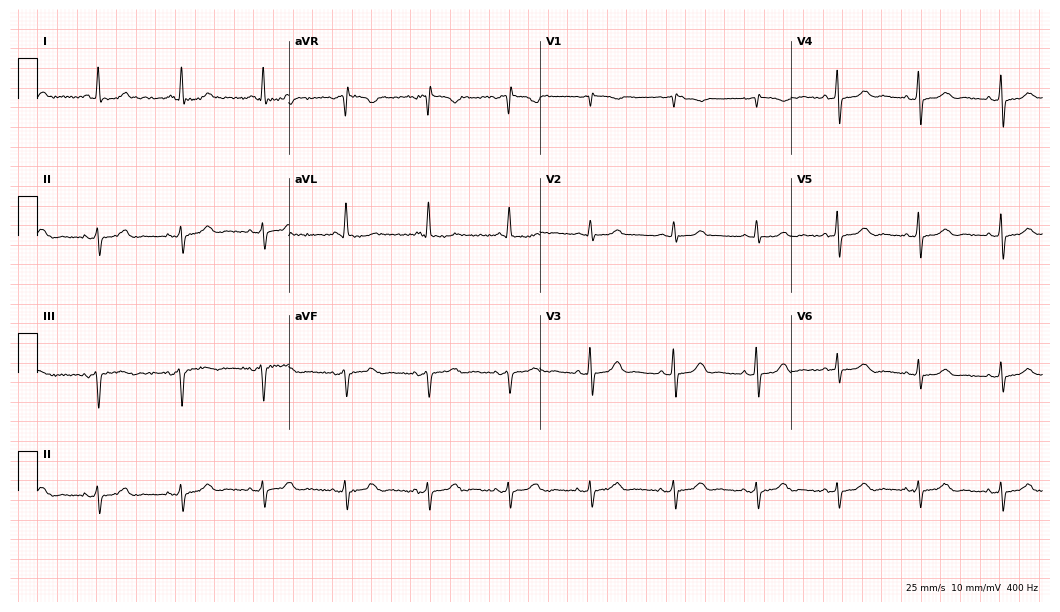
Resting 12-lead electrocardiogram (10.2-second recording at 400 Hz). Patient: a 65-year-old woman. None of these six findings is recorded: first-degree AV block, right bundle branch block, left bundle branch block, sinus bradycardia, atrial fibrillation, sinus tachycardia. Findings outside these six are not listed.